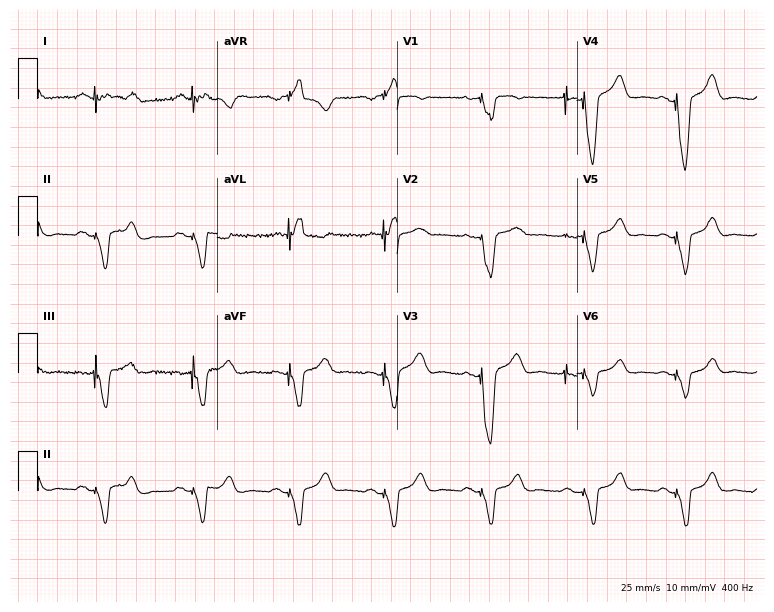
Standard 12-lead ECG recorded from a woman, 70 years old (7.3-second recording at 400 Hz). None of these six findings is recorded: first-degree AV block, right bundle branch block (RBBB), left bundle branch block (LBBB), sinus bradycardia, atrial fibrillation (AF), sinus tachycardia. Findings outside these six are not listed.